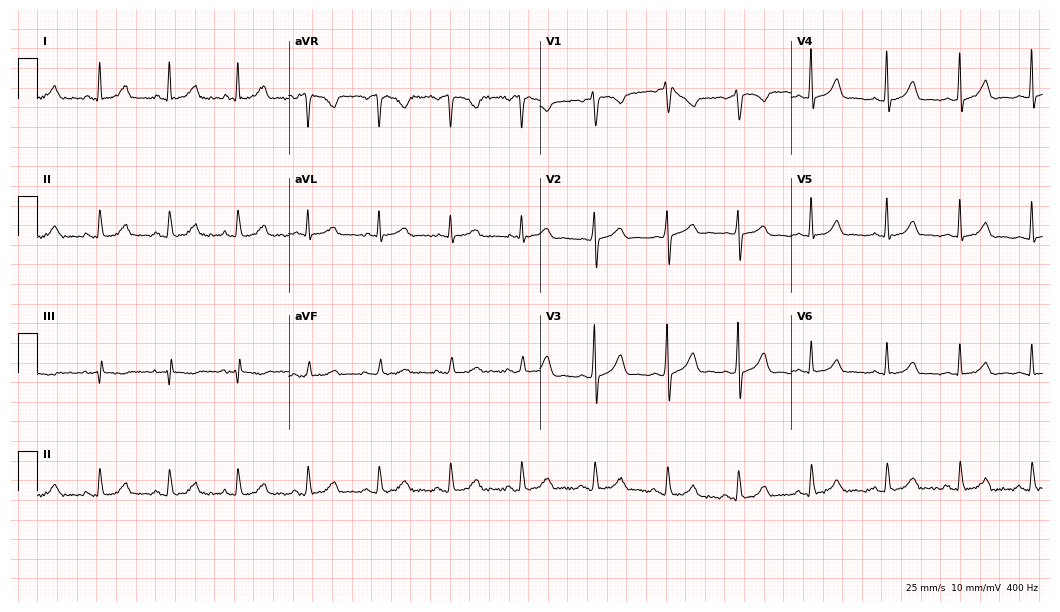
Resting 12-lead electrocardiogram (10.2-second recording at 400 Hz). Patient: a 47-year-old female. Read as a normal ECG.